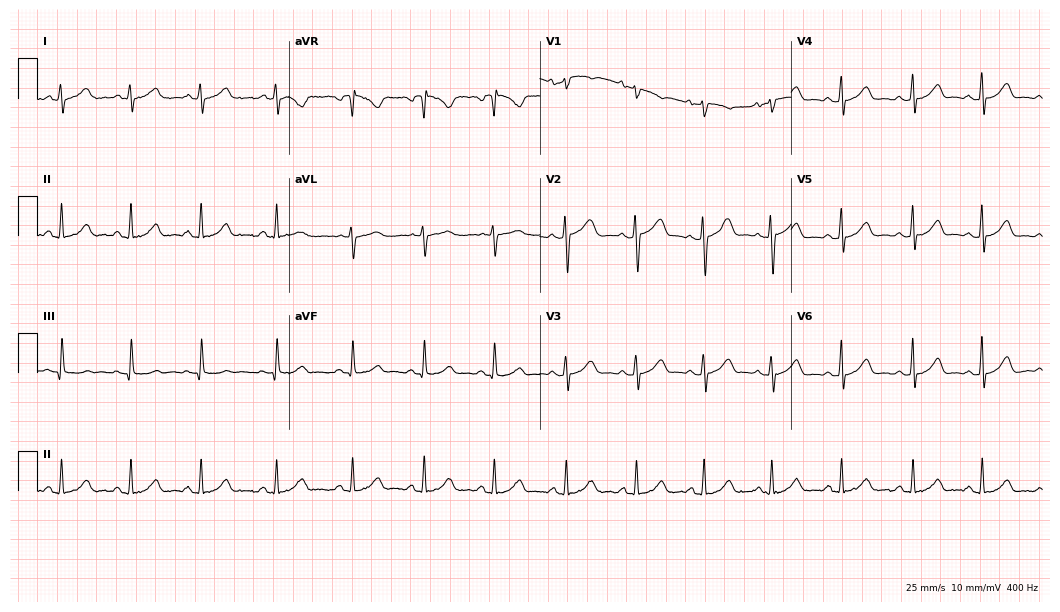
12-lead ECG from a 19-year-old female patient. Labelled as a normal ECG.